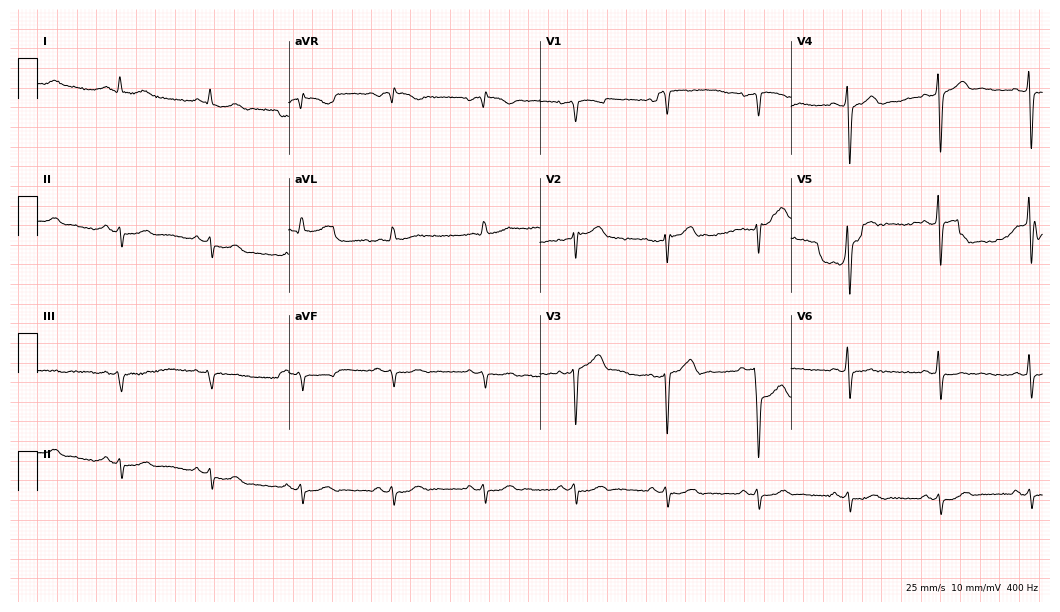
Resting 12-lead electrocardiogram (10.2-second recording at 400 Hz). Patient: a 67-year-old male. None of these six findings is recorded: first-degree AV block, right bundle branch block, left bundle branch block, sinus bradycardia, atrial fibrillation, sinus tachycardia. Only these six findings were labelled.